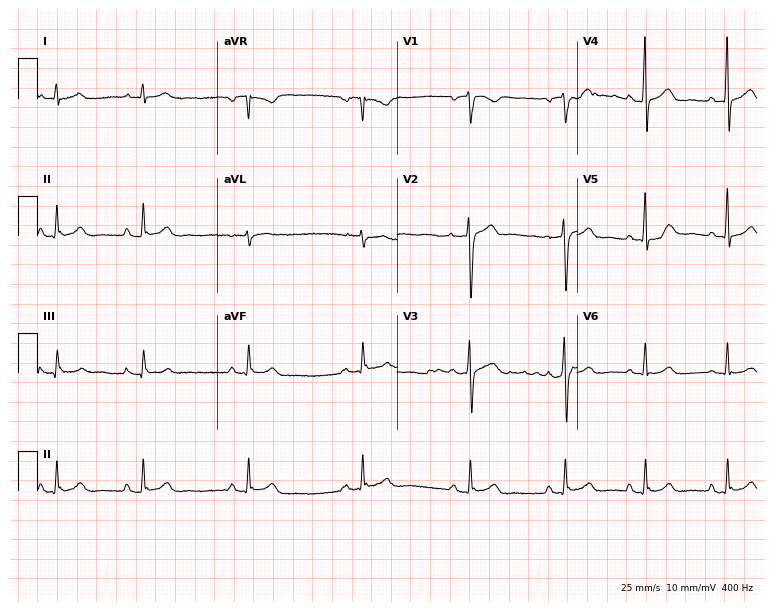
Resting 12-lead electrocardiogram. Patient: a 21-year-old male. Read as a normal ECG.